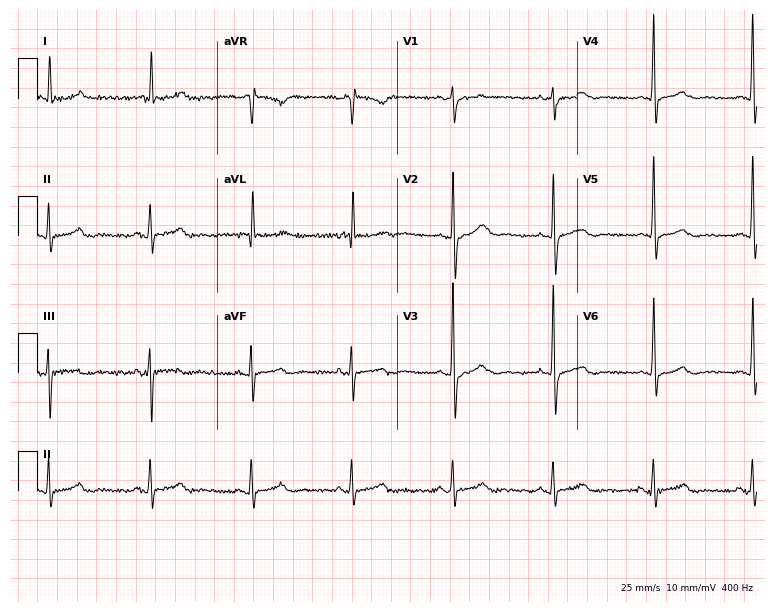
Standard 12-lead ECG recorded from an 83-year-old male patient (7.3-second recording at 400 Hz). None of these six findings is recorded: first-degree AV block, right bundle branch block (RBBB), left bundle branch block (LBBB), sinus bradycardia, atrial fibrillation (AF), sinus tachycardia.